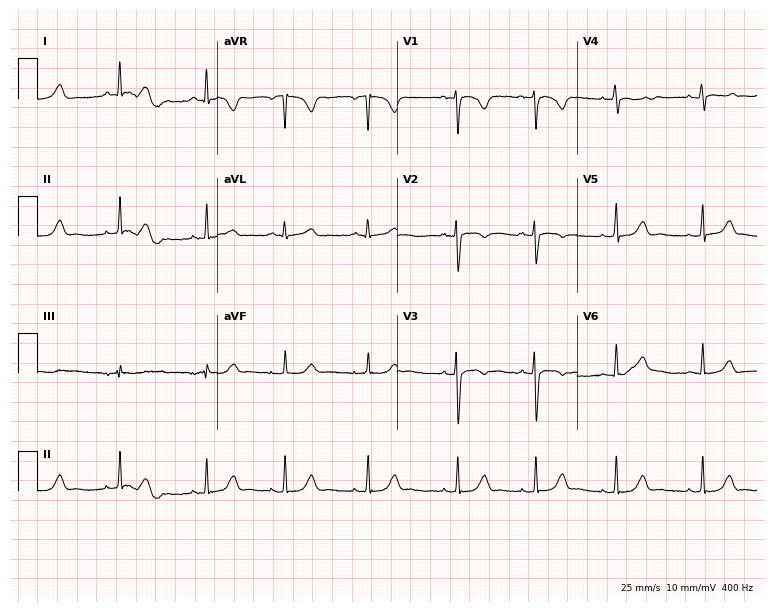
12-lead ECG from a 29-year-old female. No first-degree AV block, right bundle branch block, left bundle branch block, sinus bradycardia, atrial fibrillation or sinus tachycardia recorded for this tracing.